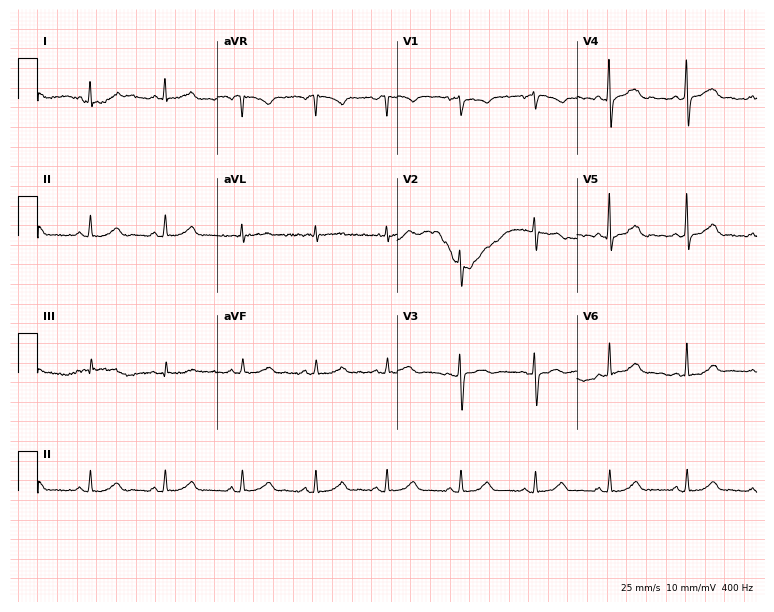
12-lead ECG from a 46-year-old female. Screened for six findings — first-degree AV block, right bundle branch block, left bundle branch block, sinus bradycardia, atrial fibrillation, sinus tachycardia — none is recorded.